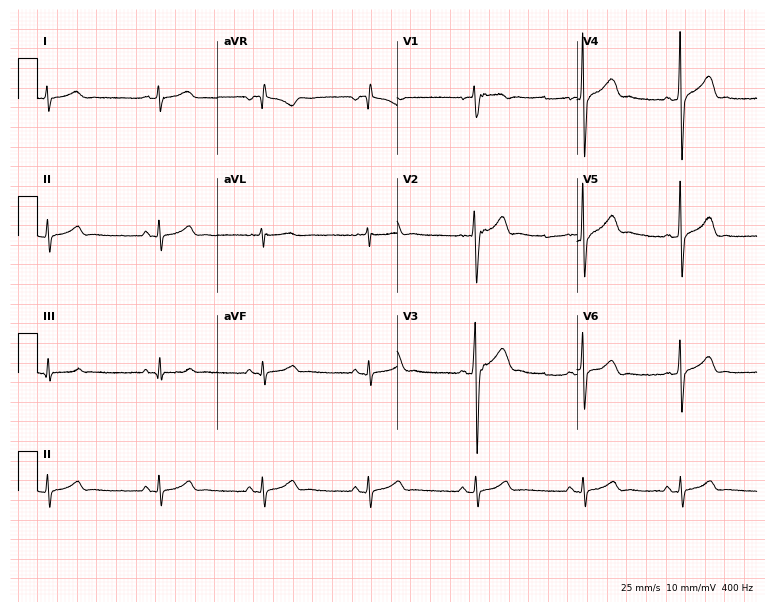
12-lead ECG (7.3-second recording at 400 Hz) from a 24-year-old man. Labelled as a normal ECG.